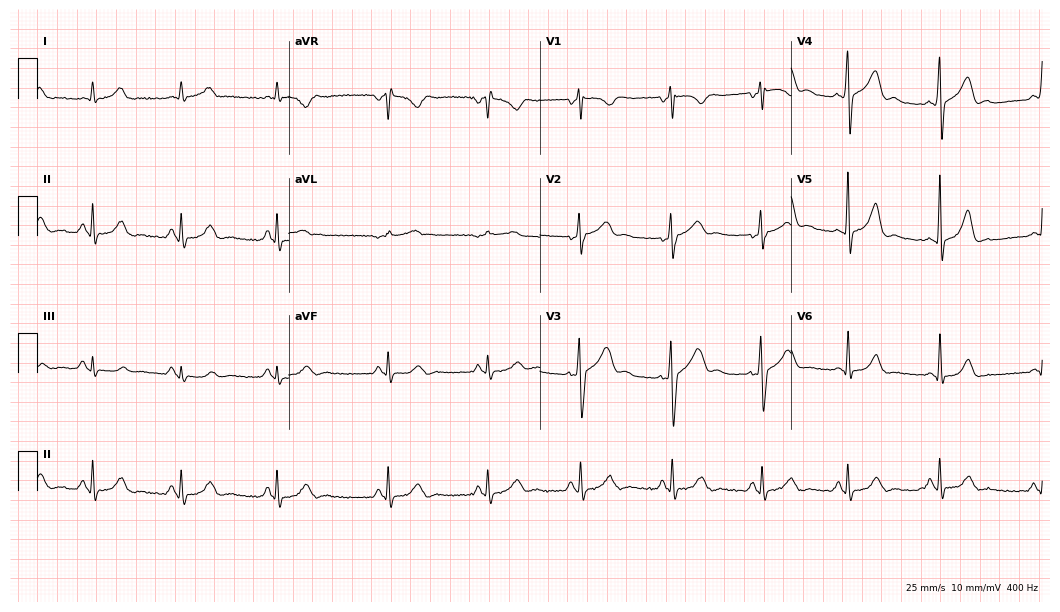
Electrocardiogram, a 39-year-old male. Overall reading on record: normal ECG.